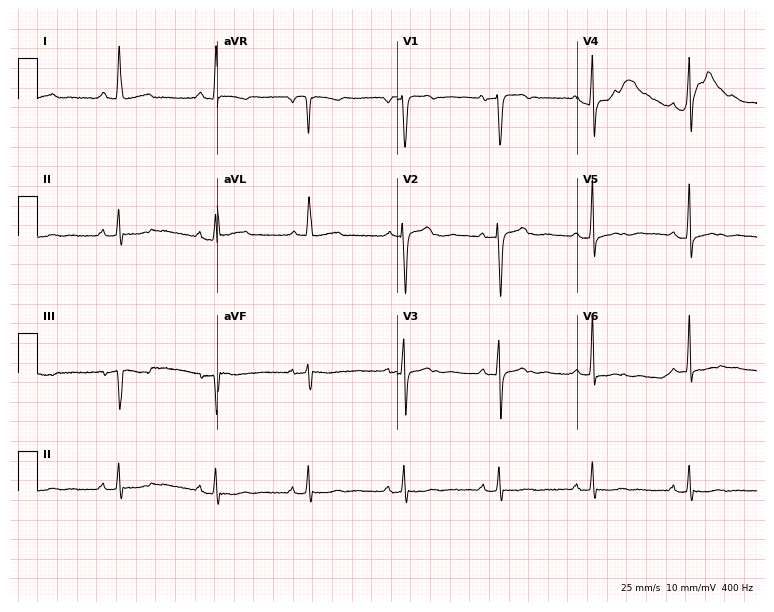
Standard 12-lead ECG recorded from a 71-year-old woman. None of these six findings is recorded: first-degree AV block, right bundle branch block, left bundle branch block, sinus bradycardia, atrial fibrillation, sinus tachycardia.